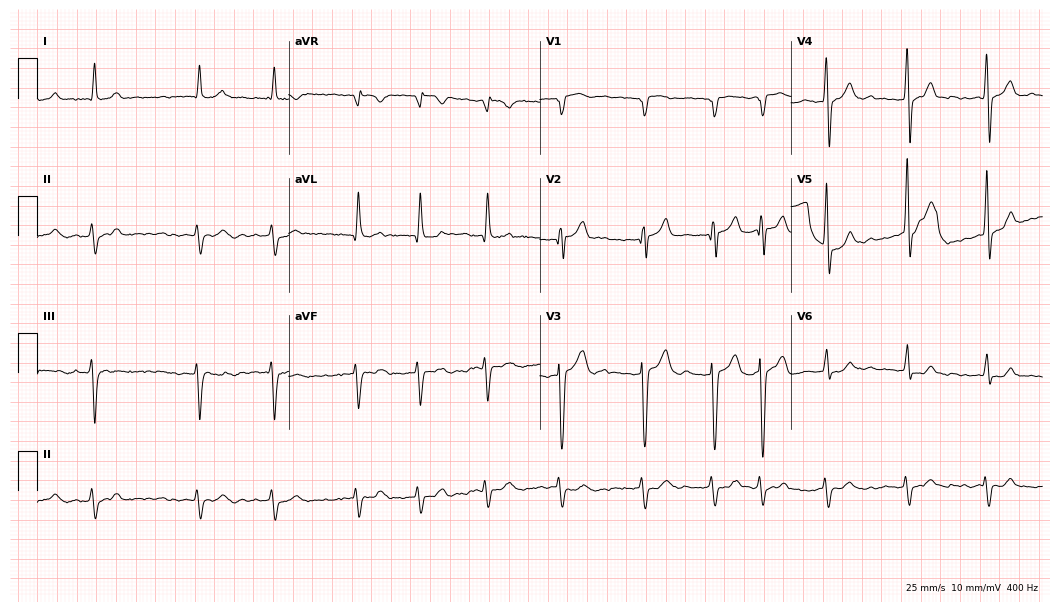
Standard 12-lead ECG recorded from a 76-year-old male (10.2-second recording at 400 Hz). The tracing shows atrial fibrillation (AF).